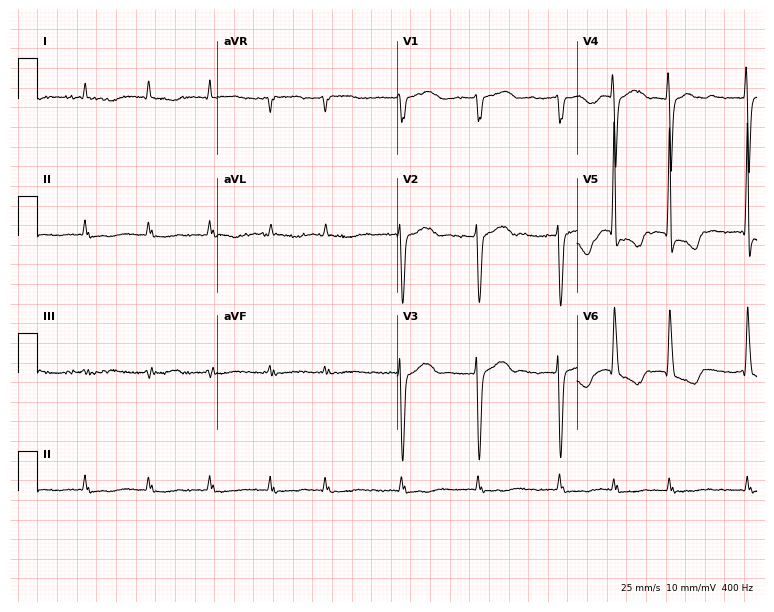
Resting 12-lead electrocardiogram (7.3-second recording at 400 Hz). Patient: an 84-year-old man. The tracing shows atrial fibrillation.